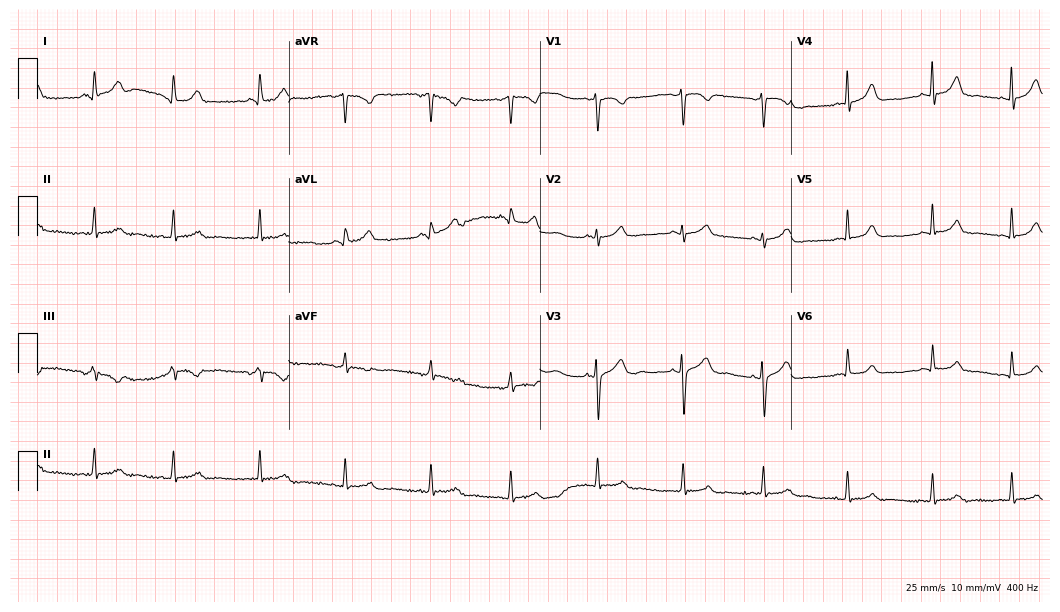
12-lead ECG from a woman, 21 years old (10.2-second recording at 400 Hz). Recorded interpretation: within normal limits.